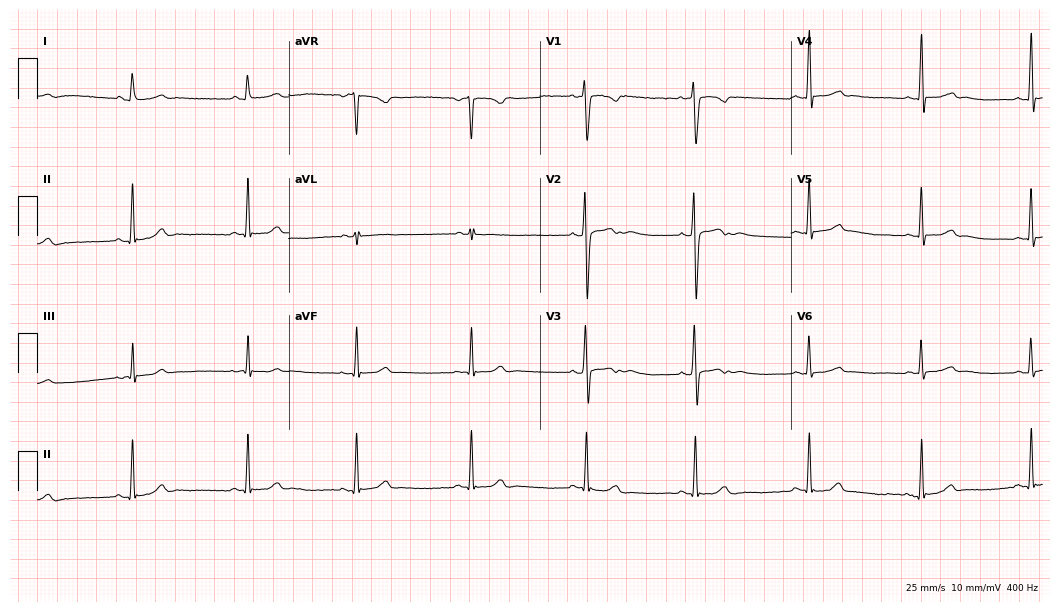
ECG — a female, 18 years old. Labelled as a normal ECG.